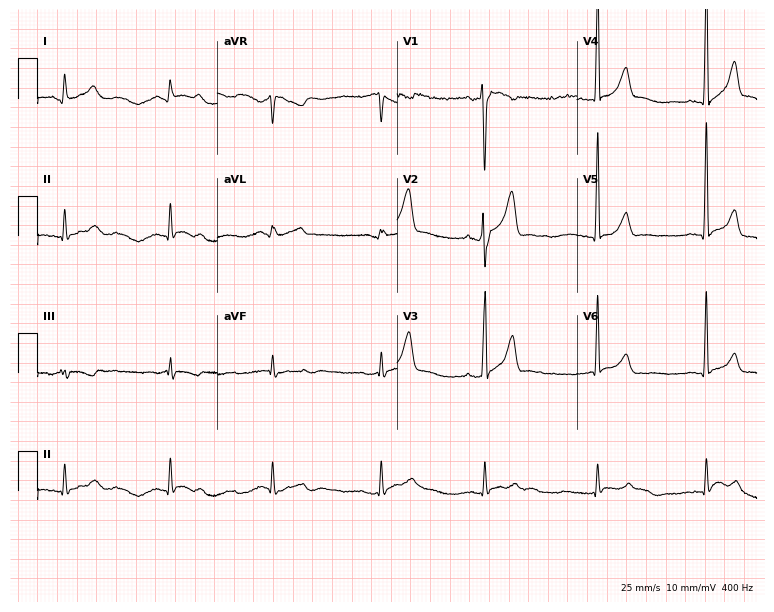
Standard 12-lead ECG recorded from a man, 34 years old (7.3-second recording at 400 Hz). None of these six findings is recorded: first-degree AV block, right bundle branch block (RBBB), left bundle branch block (LBBB), sinus bradycardia, atrial fibrillation (AF), sinus tachycardia. Other findings, if any, are not listed.